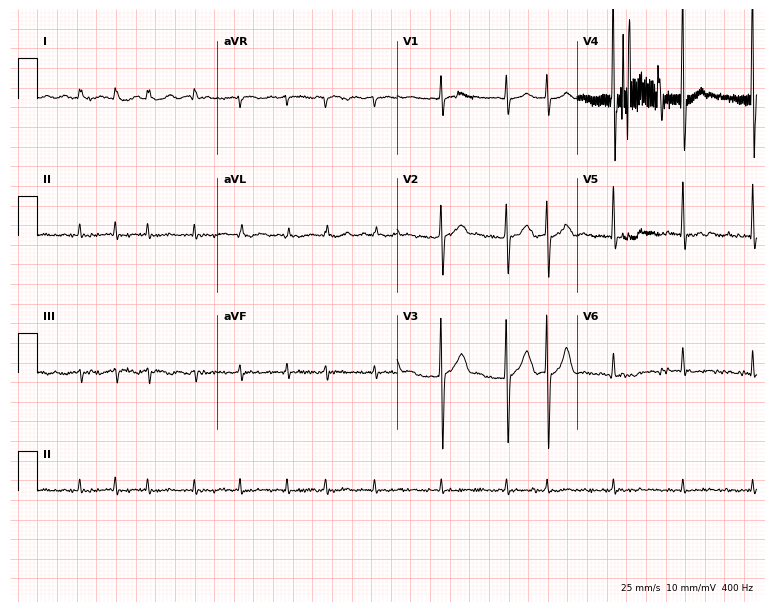
12-lead ECG from a male, 82 years old (7.3-second recording at 400 Hz). Shows atrial fibrillation.